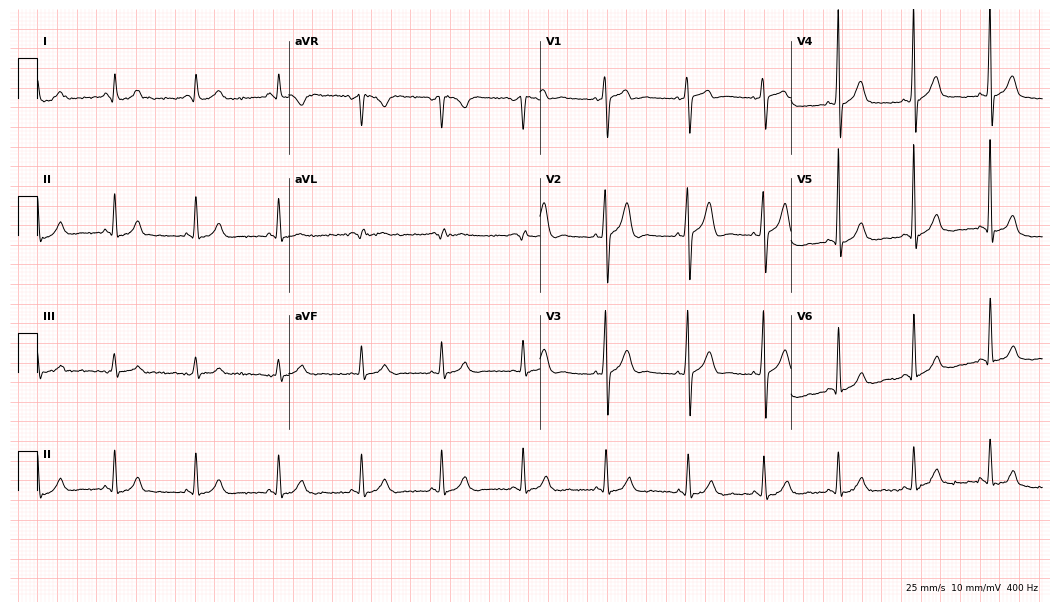
Standard 12-lead ECG recorded from a man, 28 years old. None of these six findings is recorded: first-degree AV block, right bundle branch block, left bundle branch block, sinus bradycardia, atrial fibrillation, sinus tachycardia.